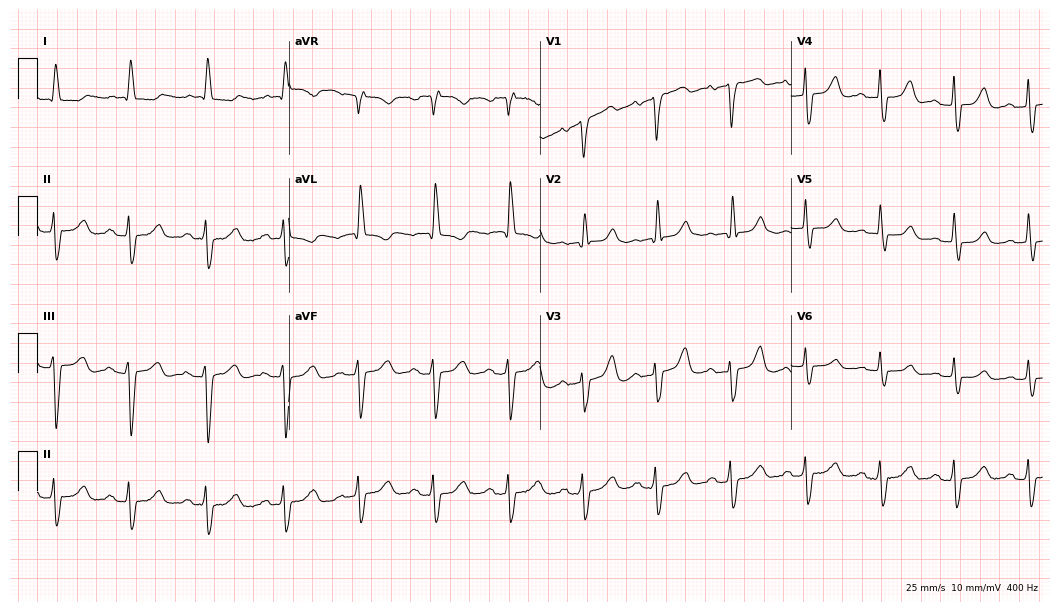
12-lead ECG from an 82-year-old female patient (10.2-second recording at 400 Hz). No first-degree AV block, right bundle branch block, left bundle branch block, sinus bradycardia, atrial fibrillation or sinus tachycardia recorded for this tracing.